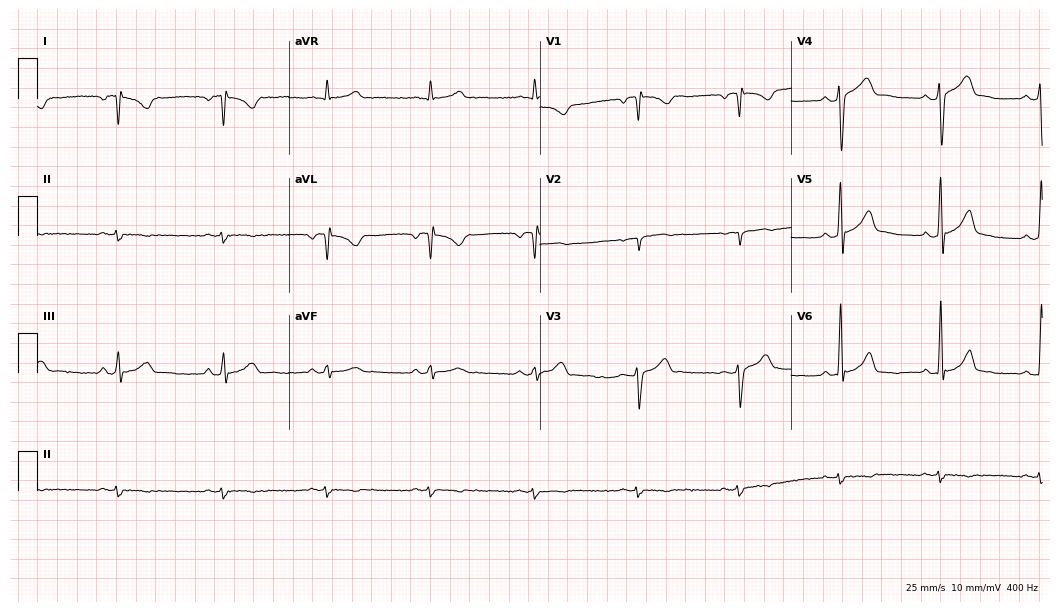
Electrocardiogram, a 26-year-old man. Of the six screened findings (first-degree AV block, right bundle branch block, left bundle branch block, sinus bradycardia, atrial fibrillation, sinus tachycardia), none is recorded. Other findings, if any, are not listed.